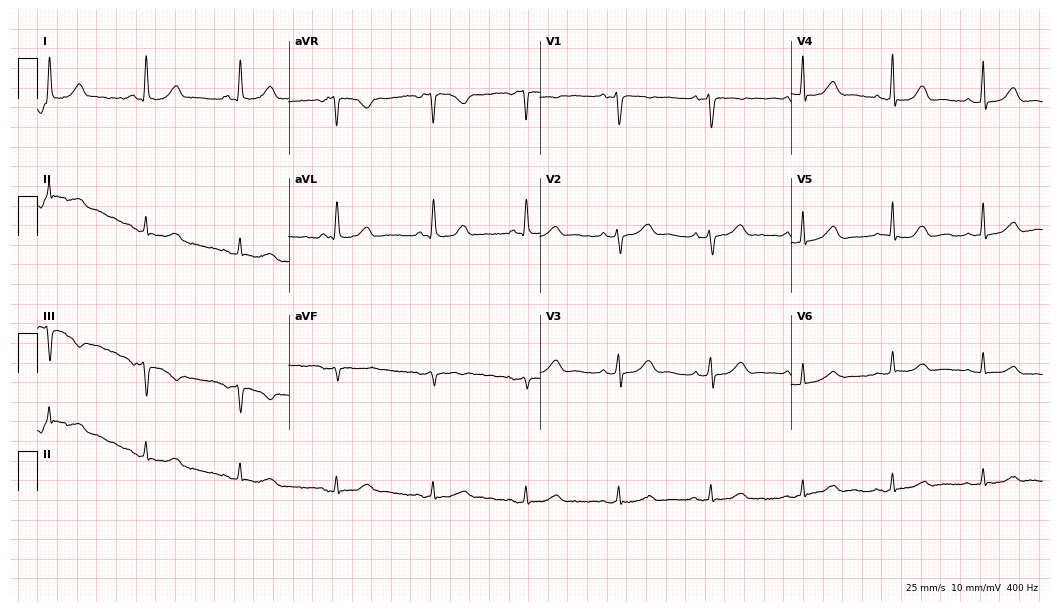
12-lead ECG from a female, 63 years old (10.2-second recording at 400 Hz). Recorded interpretation: within normal limits.